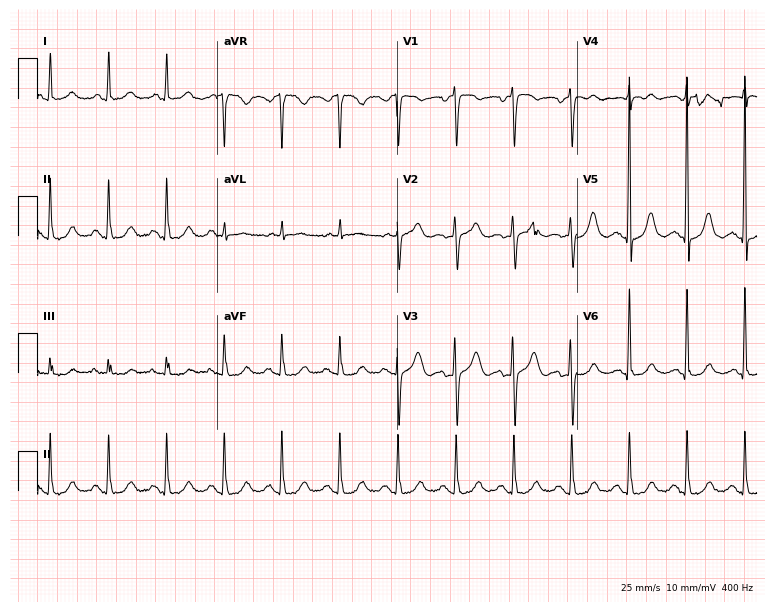
Resting 12-lead electrocardiogram. Patient: a woman, 81 years old. None of these six findings is recorded: first-degree AV block, right bundle branch block, left bundle branch block, sinus bradycardia, atrial fibrillation, sinus tachycardia.